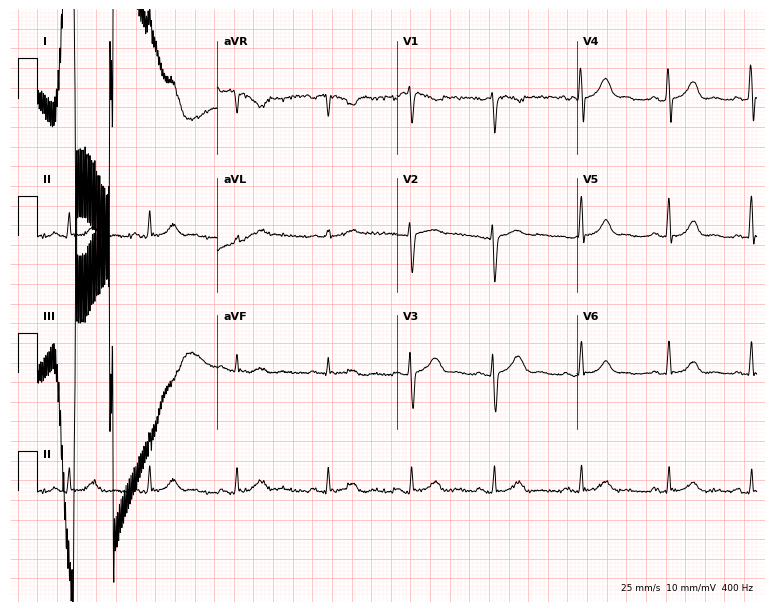
Resting 12-lead electrocardiogram. Patient: a 39-year-old female. None of these six findings is recorded: first-degree AV block, right bundle branch block, left bundle branch block, sinus bradycardia, atrial fibrillation, sinus tachycardia.